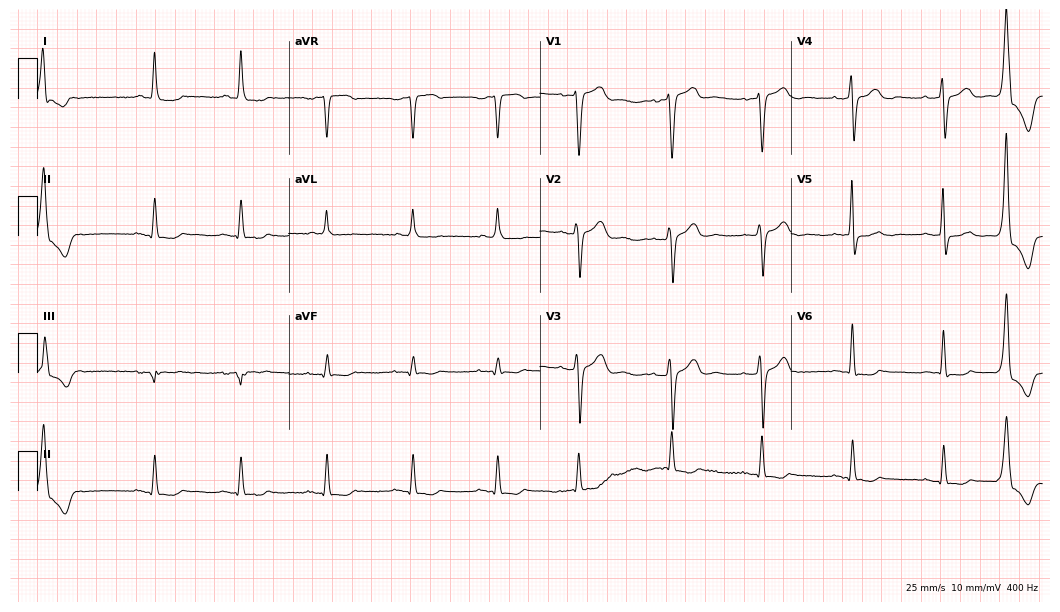
Resting 12-lead electrocardiogram. Patient: a female, 80 years old. None of these six findings is recorded: first-degree AV block, right bundle branch block (RBBB), left bundle branch block (LBBB), sinus bradycardia, atrial fibrillation (AF), sinus tachycardia.